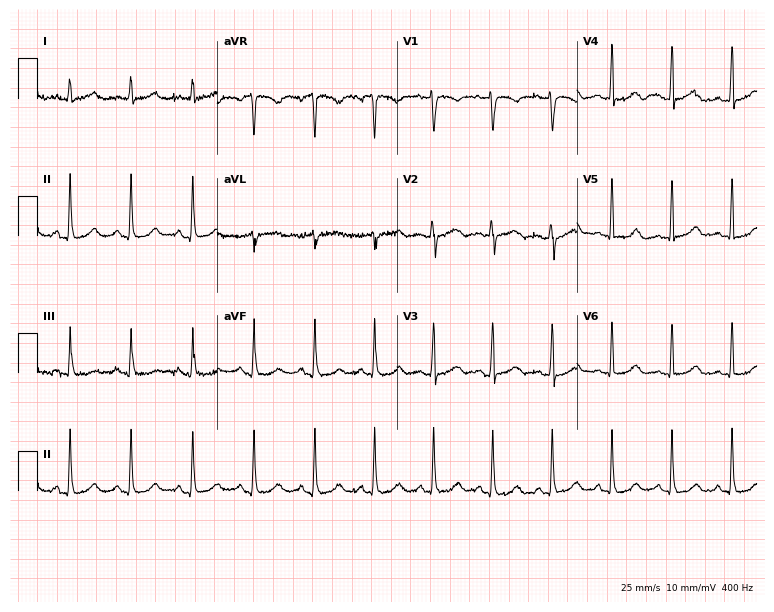
ECG (7.3-second recording at 400 Hz) — a 27-year-old female. Labelled as a normal ECG.